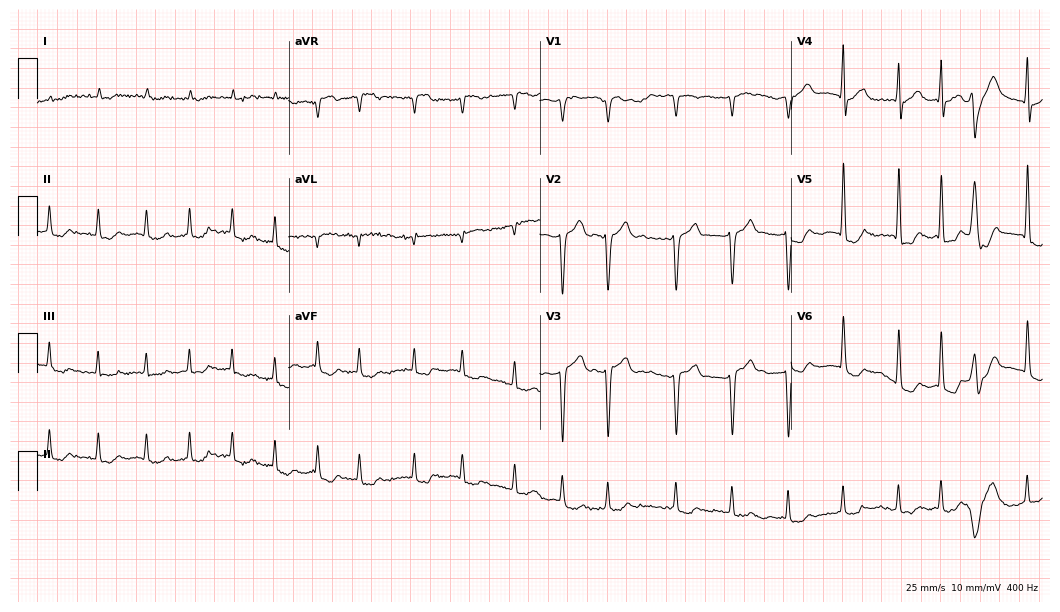
12-lead ECG from a 78-year-old female. No first-degree AV block, right bundle branch block, left bundle branch block, sinus bradycardia, atrial fibrillation or sinus tachycardia recorded for this tracing.